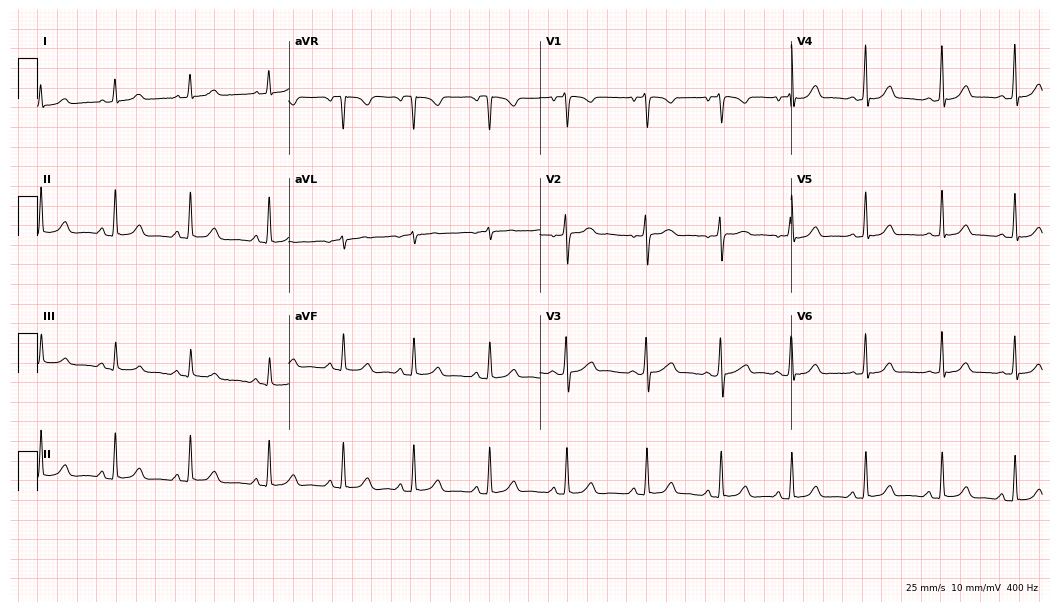
ECG — a woman, 23 years old. Labelled as a normal ECG.